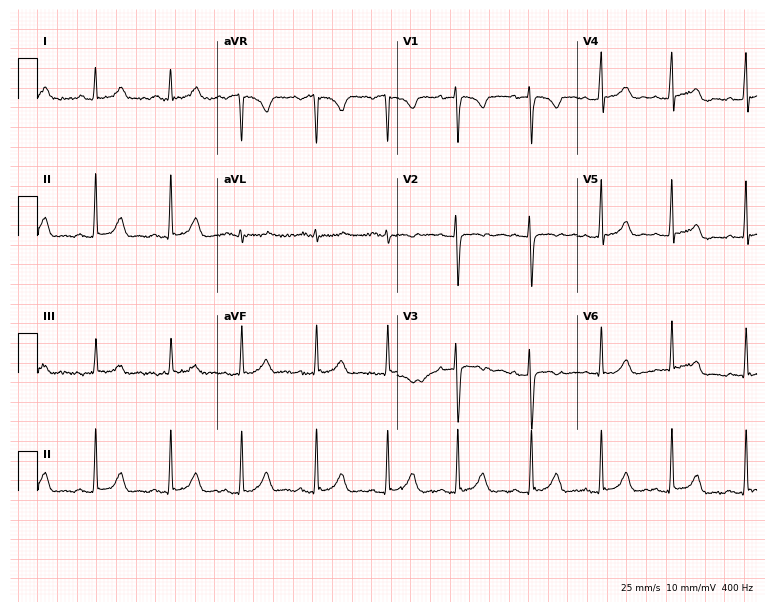
ECG — a 17-year-old female patient. Screened for six findings — first-degree AV block, right bundle branch block, left bundle branch block, sinus bradycardia, atrial fibrillation, sinus tachycardia — none is recorded. Only these six findings were labelled.